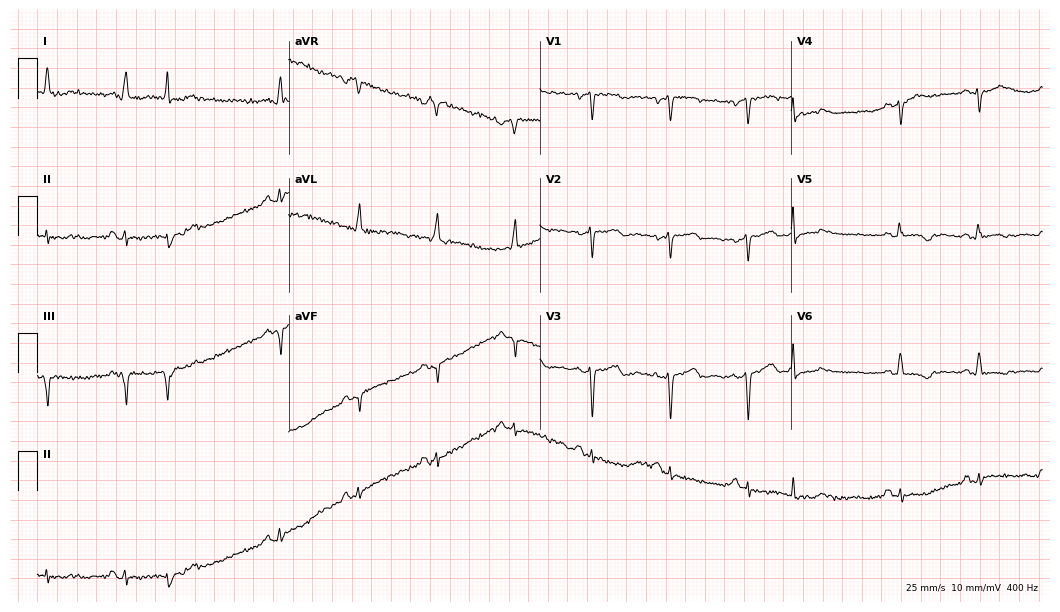
12-lead ECG from a 70-year-old female. No first-degree AV block, right bundle branch block (RBBB), left bundle branch block (LBBB), sinus bradycardia, atrial fibrillation (AF) or sinus tachycardia recorded for this tracing.